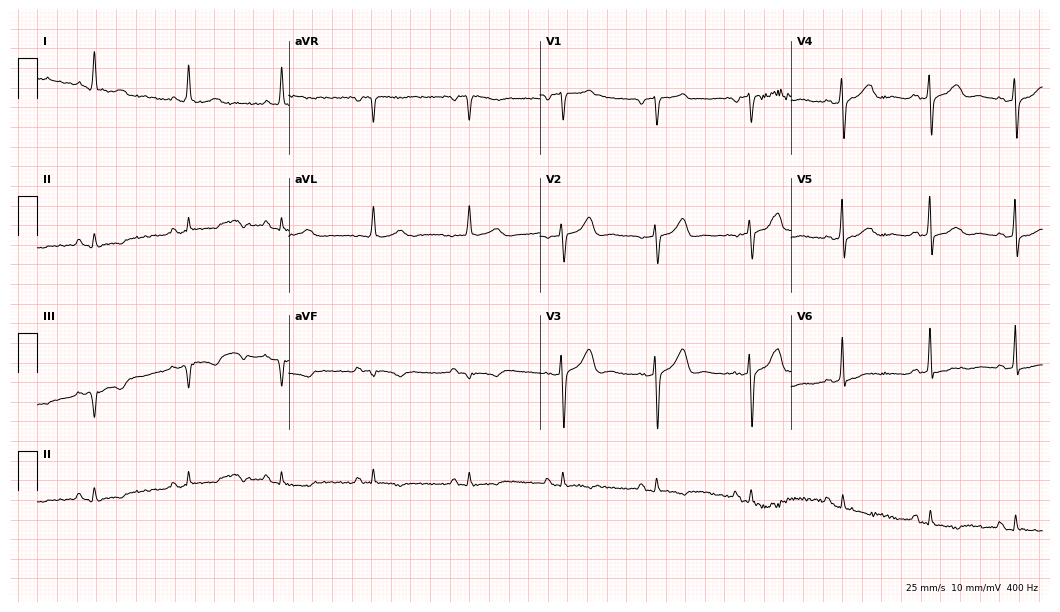
12-lead ECG from a man, 81 years old (10.2-second recording at 400 Hz). No first-degree AV block, right bundle branch block (RBBB), left bundle branch block (LBBB), sinus bradycardia, atrial fibrillation (AF) or sinus tachycardia recorded for this tracing.